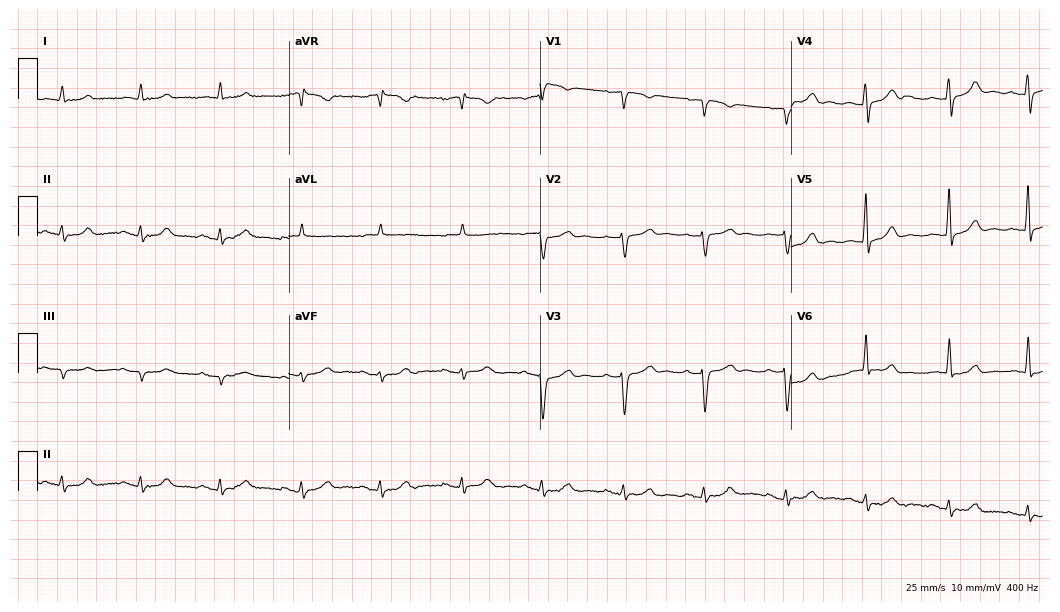
12-lead ECG (10.2-second recording at 400 Hz) from a male patient, 73 years old. Labelled as a normal ECG.